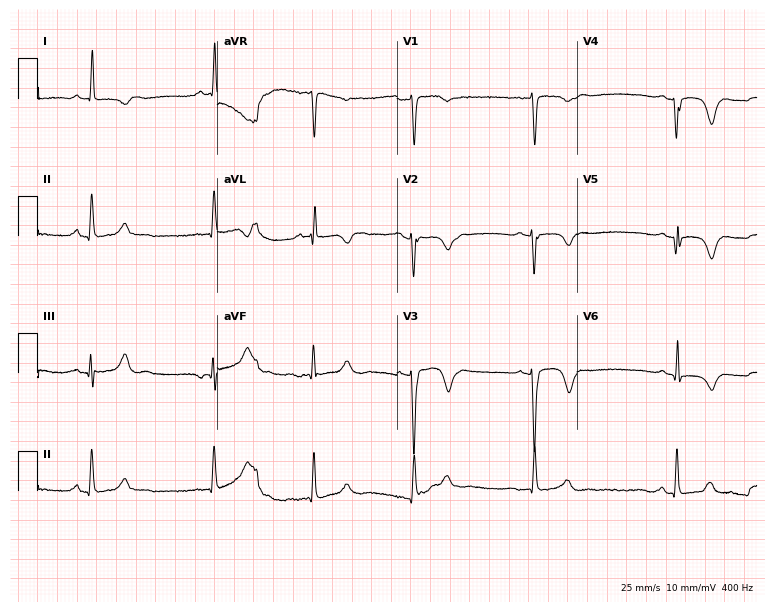
12-lead ECG from a female patient, 60 years old (7.3-second recording at 400 Hz). Shows sinus bradycardia (a sinus rate of 50 beats per minute or less).